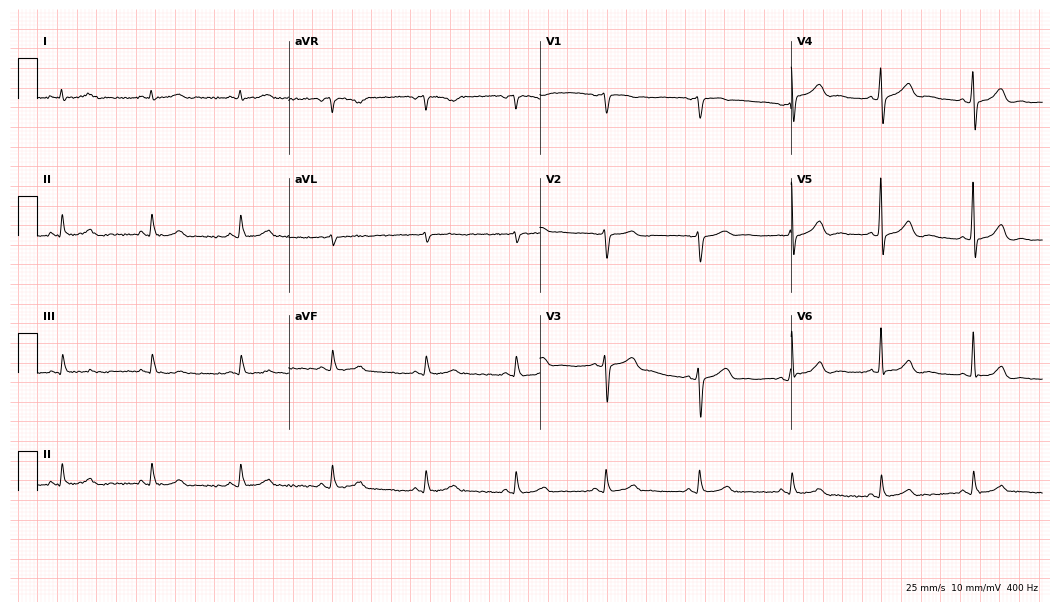
ECG (10.2-second recording at 400 Hz) — a male patient, 72 years old. Labelled as a normal ECG.